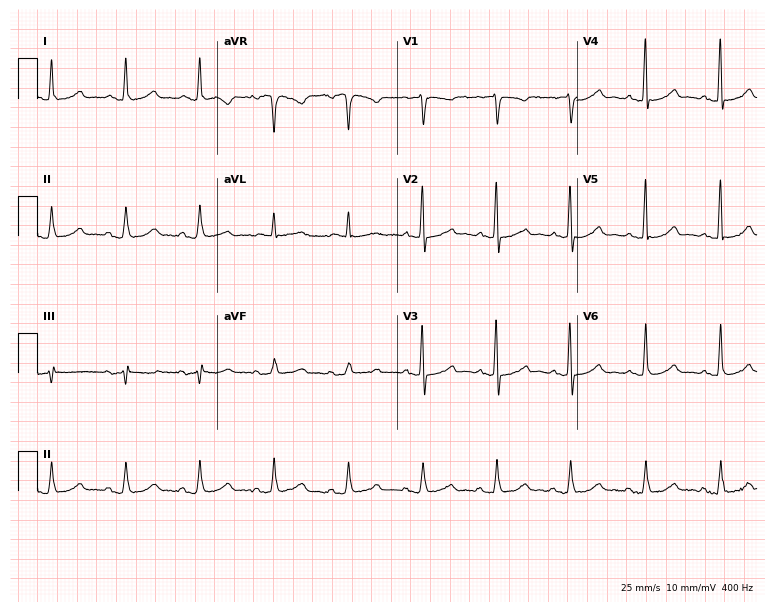
Electrocardiogram (7.3-second recording at 400 Hz), a female patient, 81 years old. Overall reading on record: normal ECG.